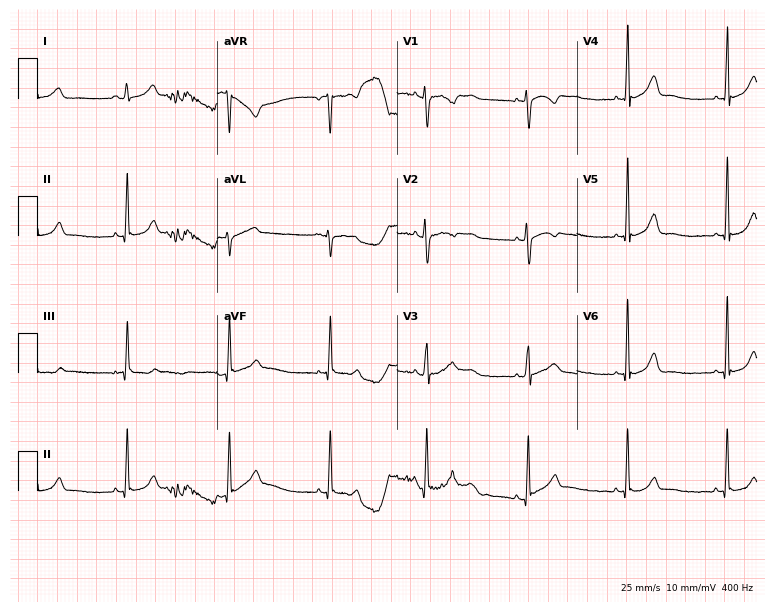
Electrocardiogram (7.3-second recording at 400 Hz), a female patient, 21 years old. Overall reading on record: normal ECG.